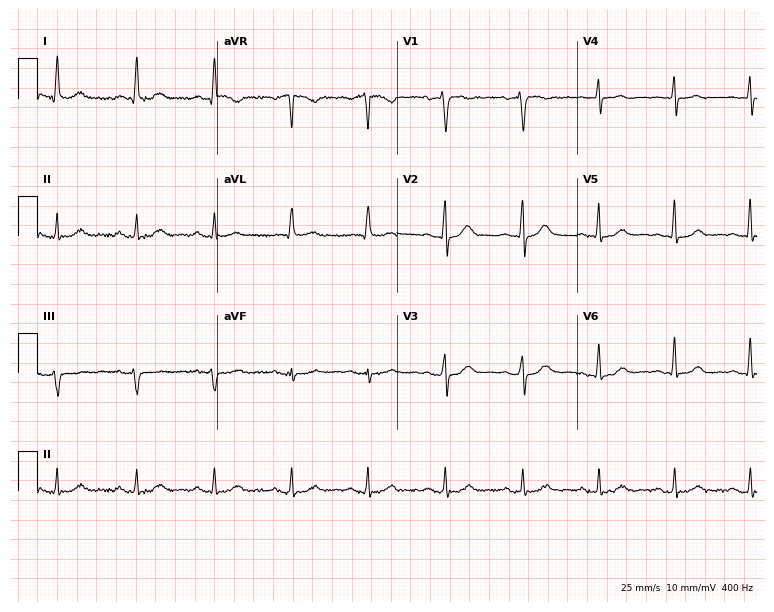
Electrocardiogram, a female, 58 years old. Overall reading on record: normal ECG.